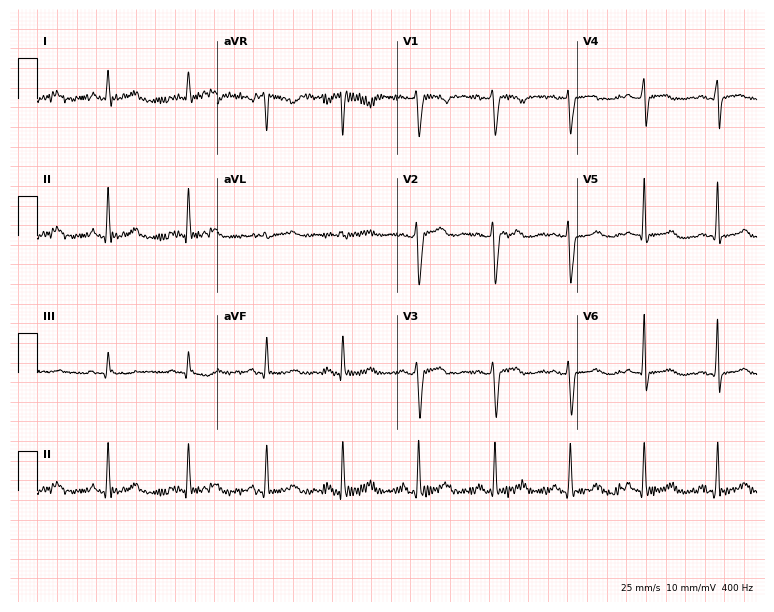
ECG (7.3-second recording at 400 Hz) — a female patient, 36 years old. Screened for six findings — first-degree AV block, right bundle branch block (RBBB), left bundle branch block (LBBB), sinus bradycardia, atrial fibrillation (AF), sinus tachycardia — none is recorded.